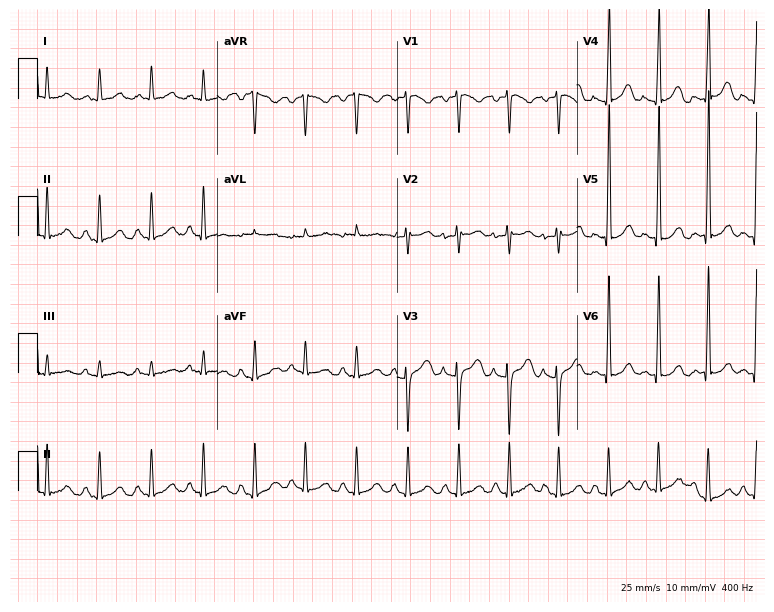
ECG — a female, 41 years old. Findings include sinus tachycardia (a sinus rate of 100 beats per minute or more).